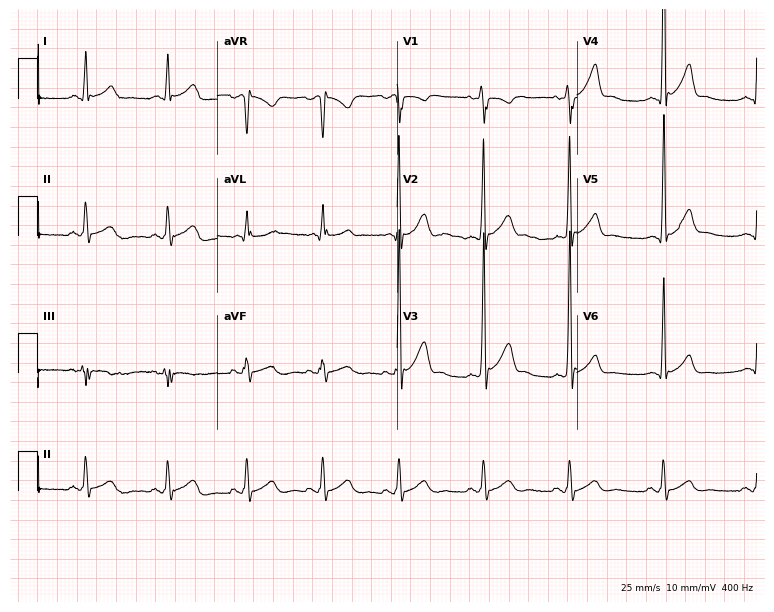
12-lead ECG (7.3-second recording at 400 Hz) from a 24-year-old man. Labelled as a normal ECG.